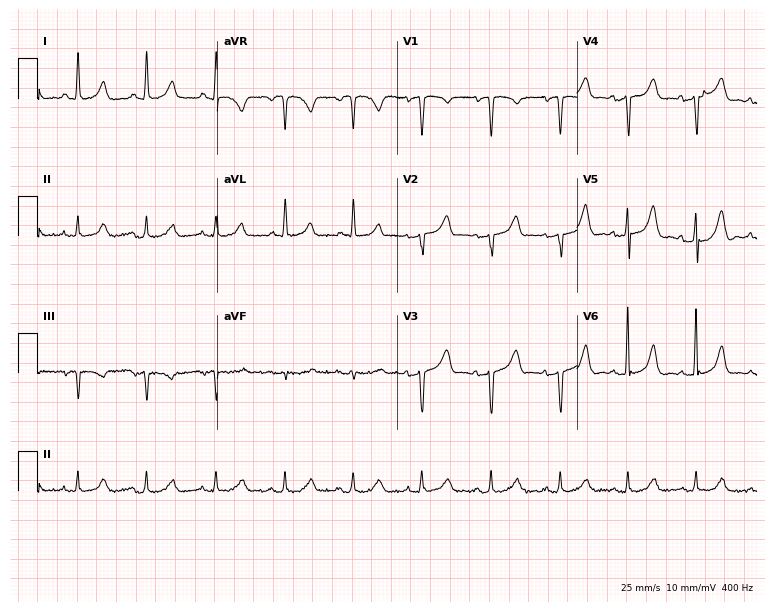
Standard 12-lead ECG recorded from a 65-year-old female. Read as a normal ECG.